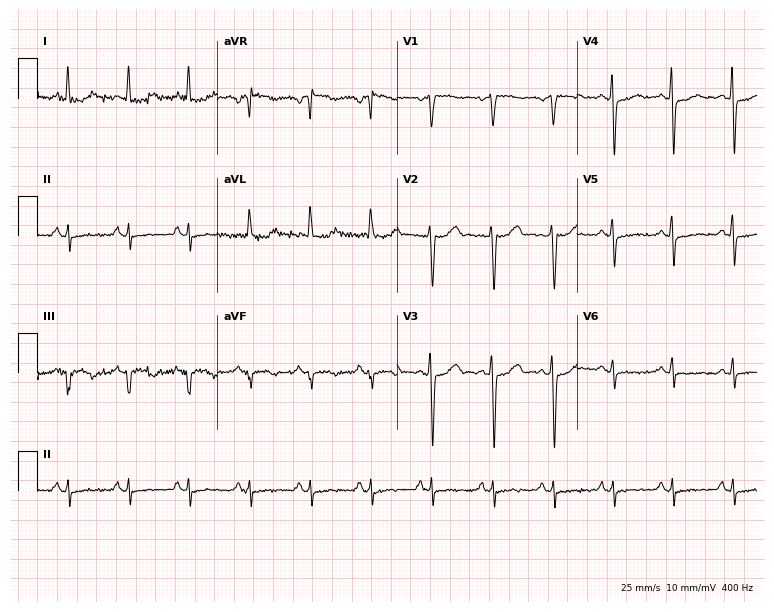
Resting 12-lead electrocardiogram. Patient: a female, 63 years old. None of these six findings is recorded: first-degree AV block, right bundle branch block, left bundle branch block, sinus bradycardia, atrial fibrillation, sinus tachycardia.